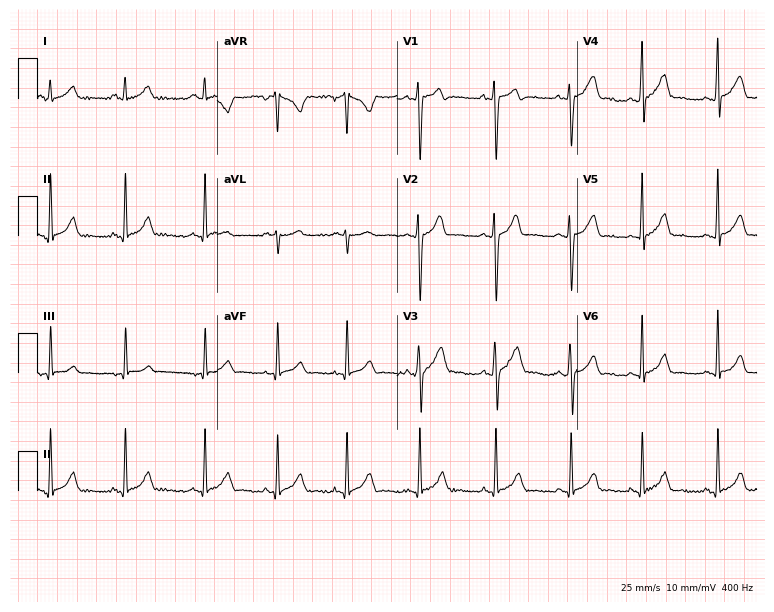
ECG (7.3-second recording at 400 Hz) — a male patient, 21 years old. Labelled as a normal ECG.